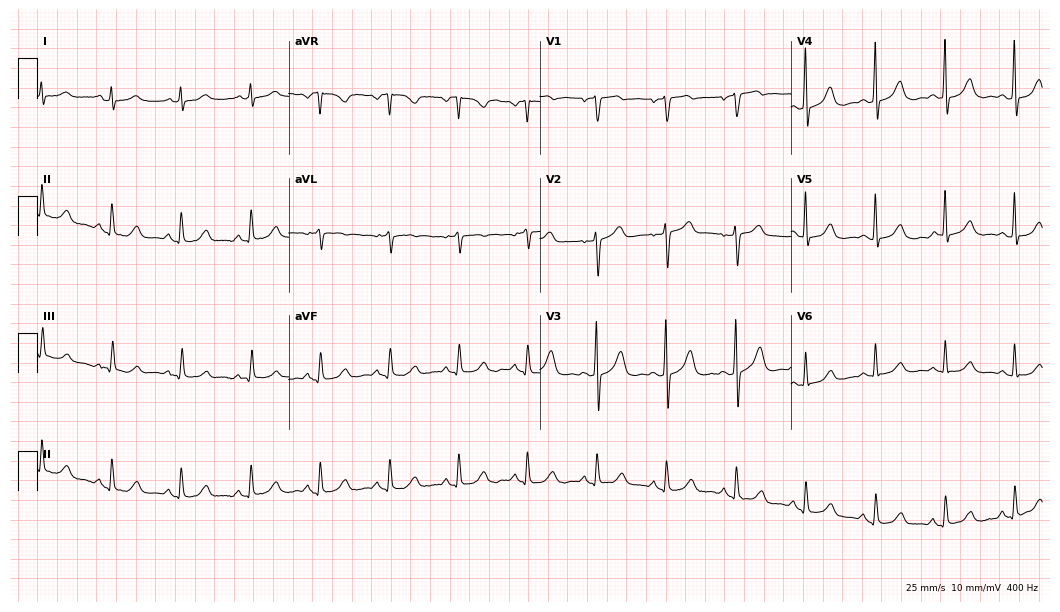
Resting 12-lead electrocardiogram. Patient: a 75-year-old female. Read as a normal ECG.